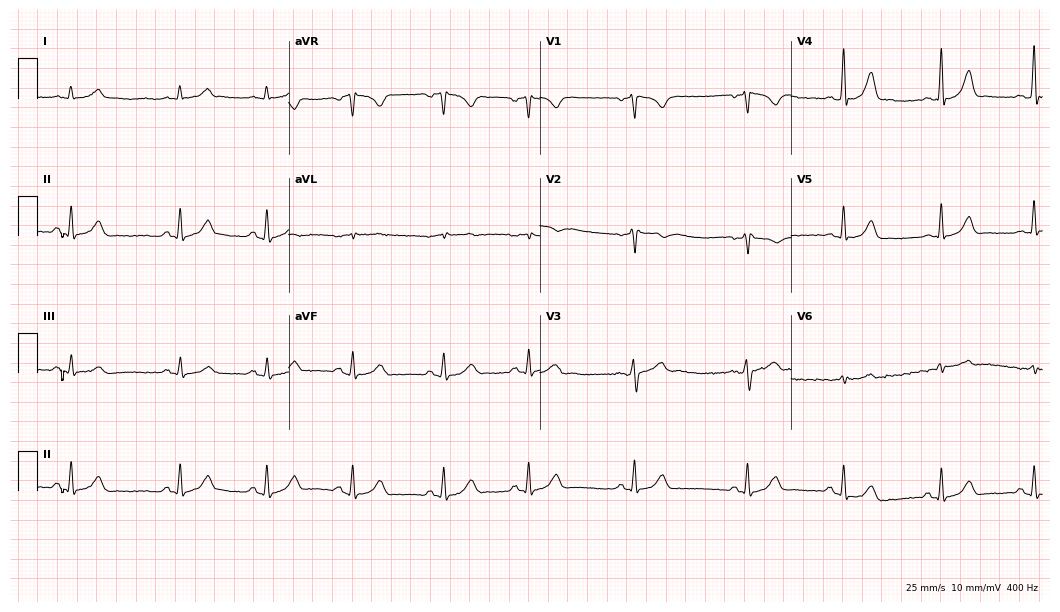
Resting 12-lead electrocardiogram. Patient: a 46-year-old female. None of these six findings is recorded: first-degree AV block, right bundle branch block (RBBB), left bundle branch block (LBBB), sinus bradycardia, atrial fibrillation (AF), sinus tachycardia.